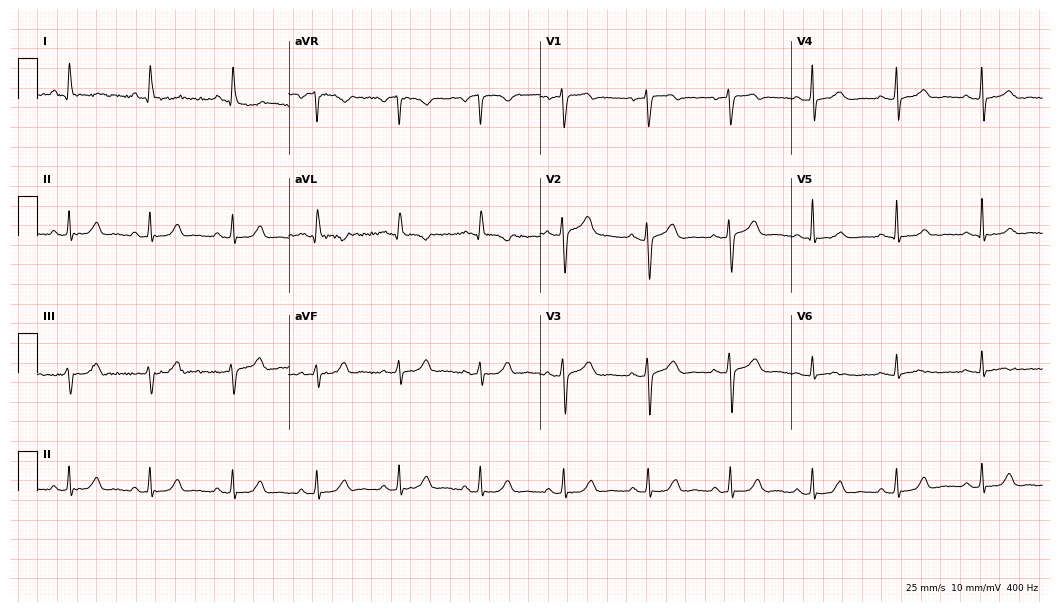
12-lead ECG from a female patient, 51 years old. Recorded interpretation: within normal limits.